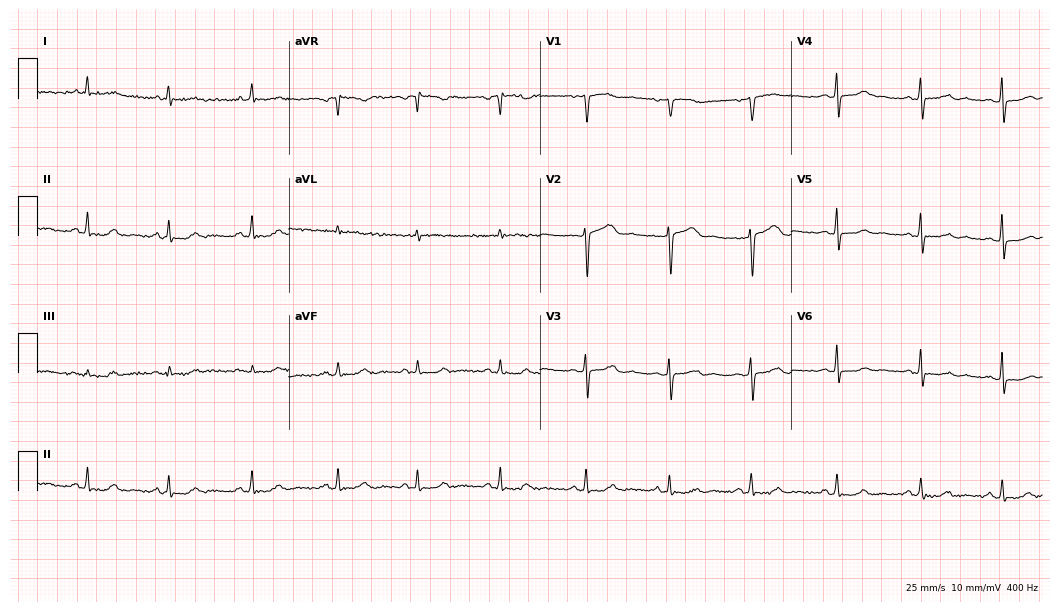
ECG — a female, 58 years old. Labelled as a normal ECG.